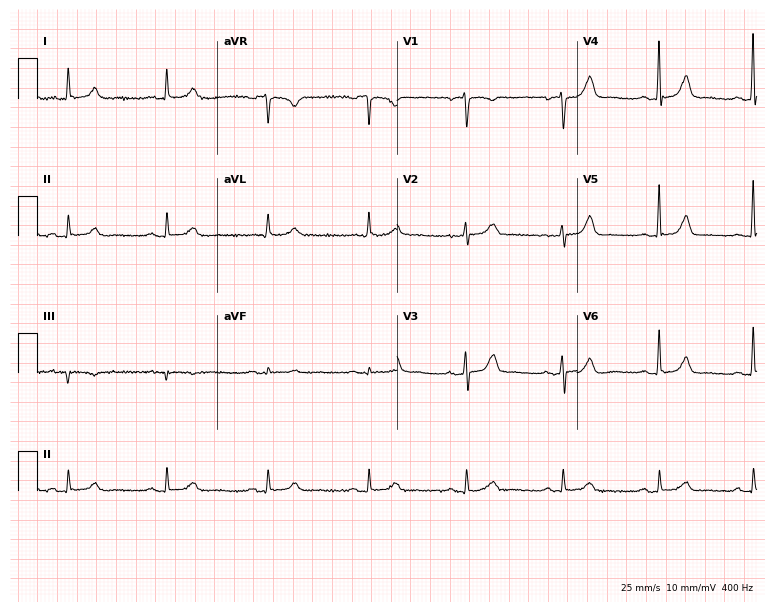
Standard 12-lead ECG recorded from a 61-year-old woman (7.3-second recording at 400 Hz). Read as a normal ECG.